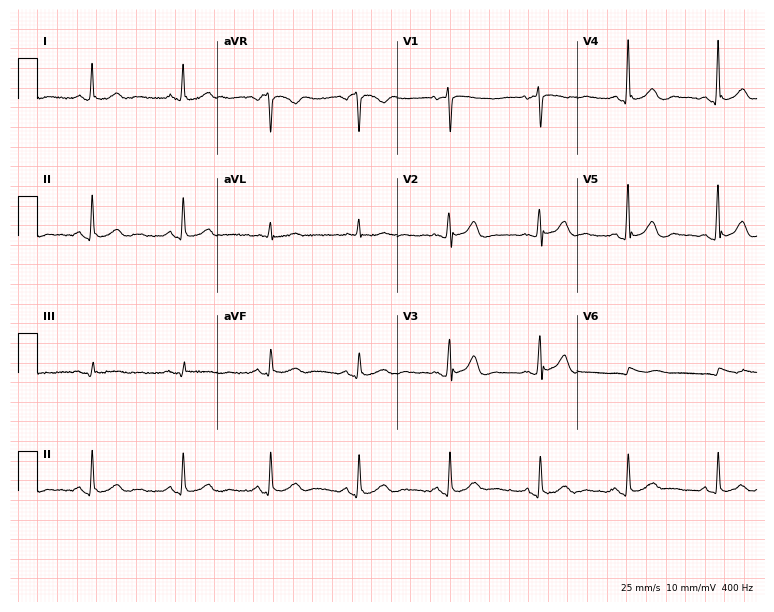
ECG — a 51-year-old female. Labelled as a normal ECG.